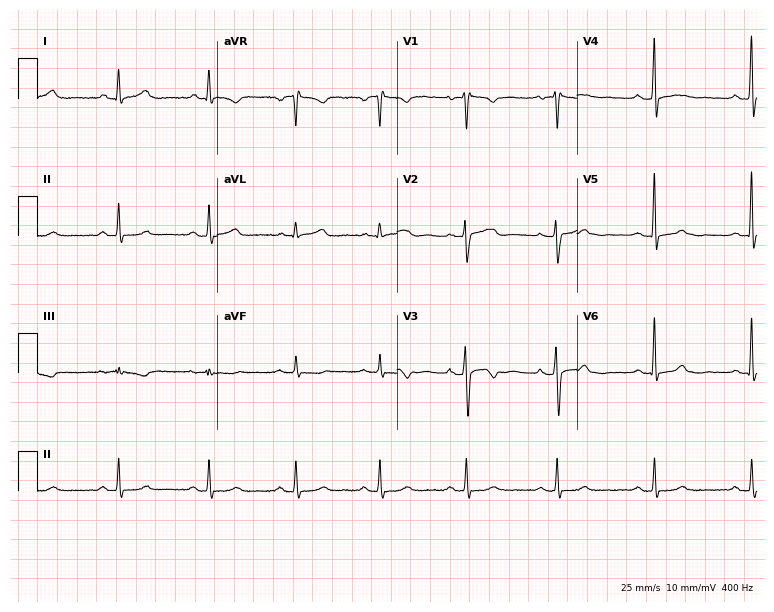
ECG (7.3-second recording at 400 Hz) — a 33-year-old woman. Screened for six findings — first-degree AV block, right bundle branch block, left bundle branch block, sinus bradycardia, atrial fibrillation, sinus tachycardia — none is recorded.